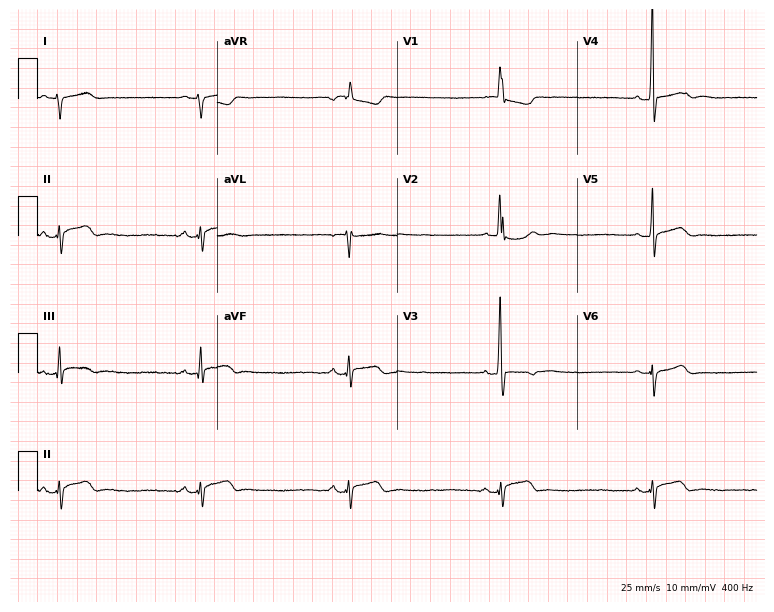
Standard 12-lead ECG recorded from a 17-year-old male (7.3-second recording at 400 Hz). None of these six findings is recorded: first-degree AV block, right bundle branch block, left bundle branch block, sinus bradycardia, atrial fibrillation, sinus tachycardia.